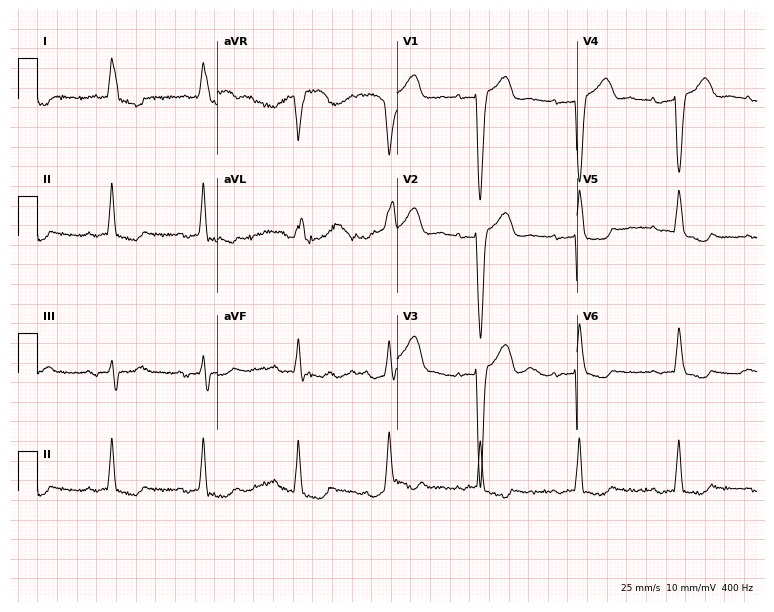
Resting 12-lead electrocardiogram. Patient: an 84-year-old female. The tracing shows first-degree AV block, left bundle branch block.